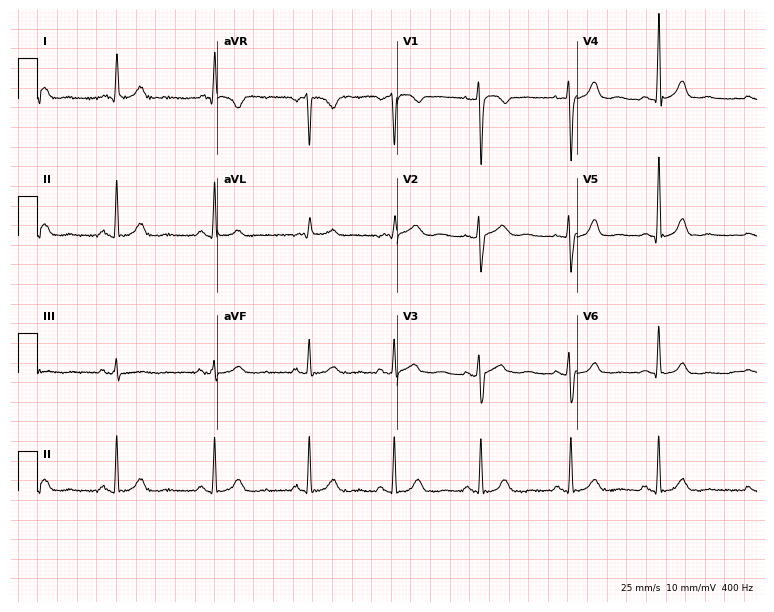
Resting 12-lead electrocardiogram (7.3-second recording at 400 Hz). Patient: a 48-year-old female. None of these six findings is recorded: first-degree AV block, right bundle branch block, left bundle branch block, sinus bradycardia, atrial fibrillation, sinus tachycardia. Findings outside these six are not listed.